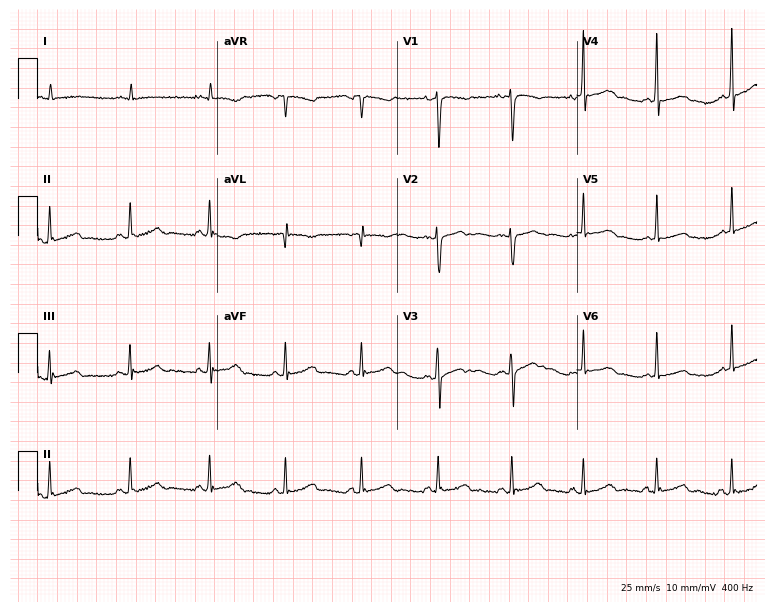
Standard 12-lead ECG recorded from a female, 45 years old. None of these six findings is recorded: first-degree AV block, right bundle branch block, left bundle branch block, sinus bradycardia, atrial fibrillation, sinus tachycardia.